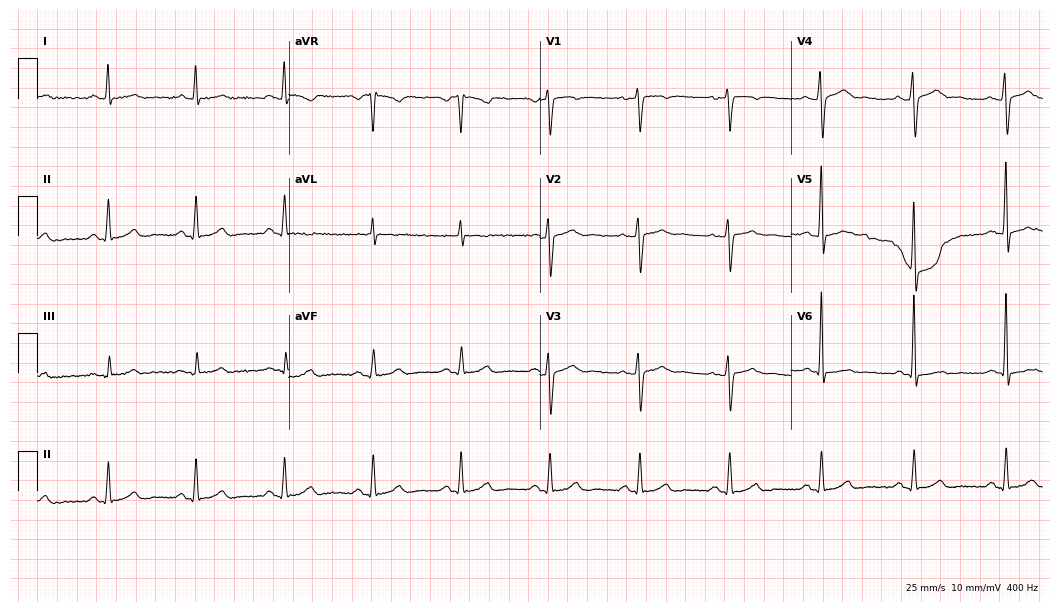
12-lead ECG from a 36-year-old male. Recorded interpretation: within normal limits.